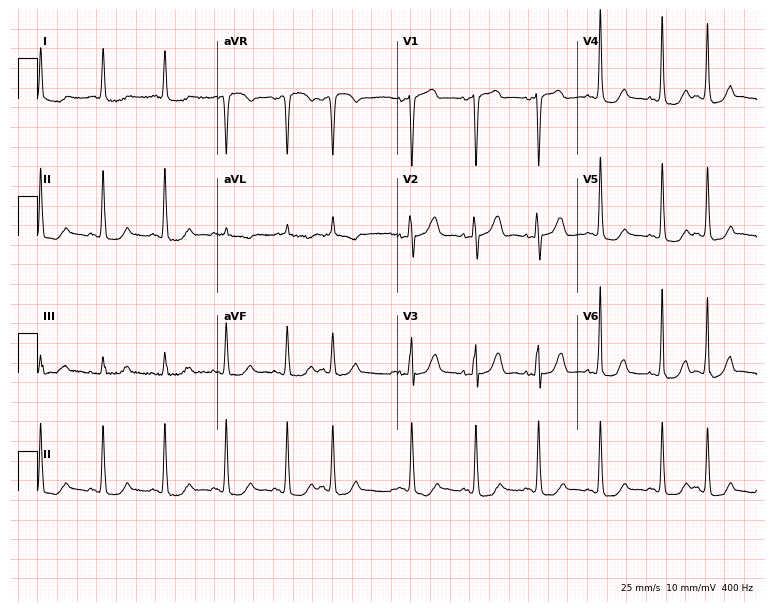
Resting 12-lead electrocardiogram (7.3-second recording at 400 Hz). Patient: a female, 82 years old. Read as a normal ECG.